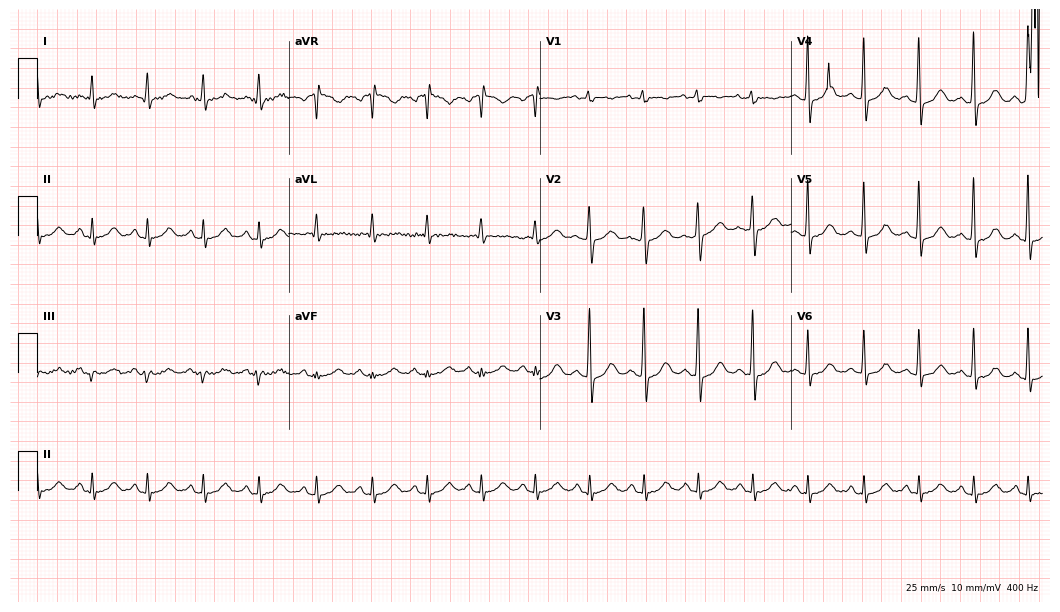
Resting 12-lead electrocardiogram (10.2-second recording at 400 Hz). Patient: a 57-year-old woman. None of these six findings is recorded: first-degree AV block, right bundle branch block, left bundle branch block, sinus bradycardia, atrial fibrillation, sinus tachycardia. Only these six findings were labelled.